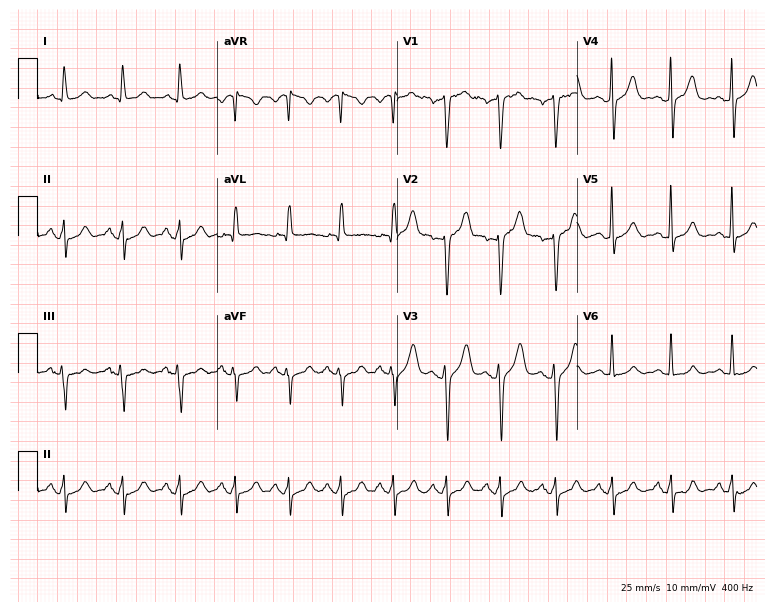
ECG — a 49-year-old male patient. Labelled as a normal ECG.